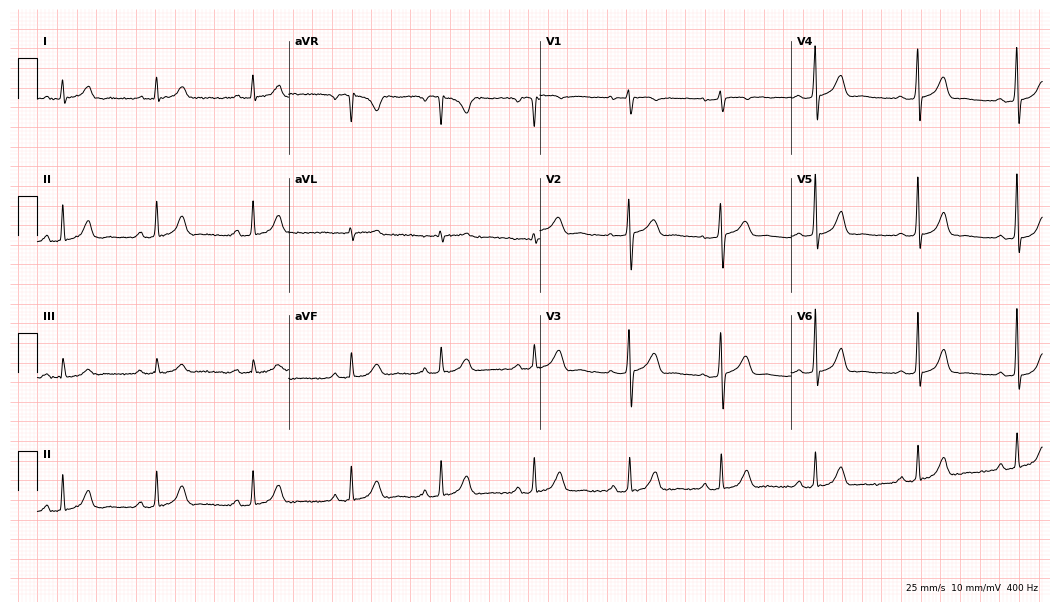
Standard 12-lead ECG recorded from a female, 45 years old (10.2-second recording at 400 Hz). Read as a normal ECG.